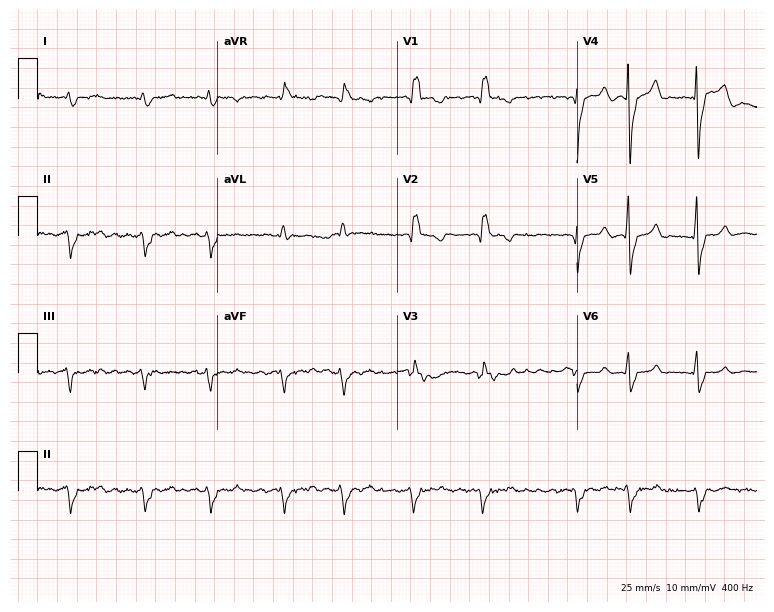
12-lead ECG from a 74-year-old man. Screened for six findings — first-degree AV block, right bundle branch block, left bundle branch block, sinus bradycardia, atrial fibrillation, sinus tachycardia — none is recorded.